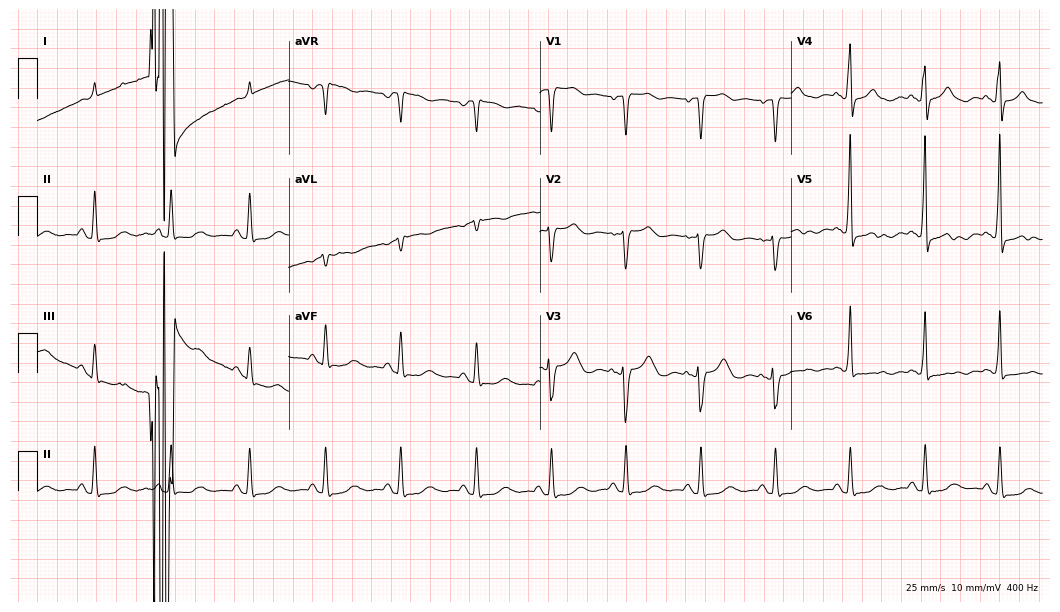
Standard 12-lead ECG recorded from an 81-year-old woman (10.2-second recording at 400 Hz). None of these six findings is recorded: first-degree AV block, right bundle branch block, left bundle branch block, sinus bradycardia, atrial fibrillation, sinus tachycardia.